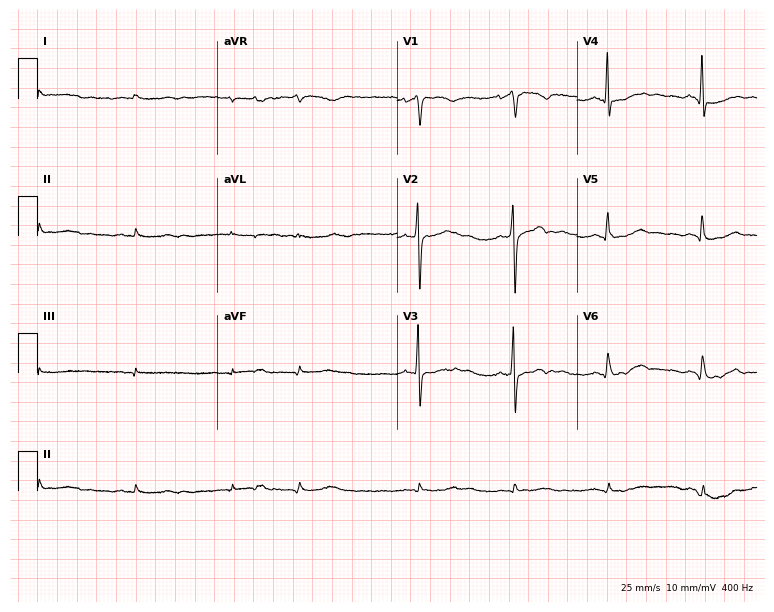
12-lead ECG from a 77-year-old male. No first-degree AV block, right bundle branch block, left bundle branch block, sinus bradycardia, atrial fibrillation or sinus tachycardia recorded for this tracing. Findings outside these six are not listed.